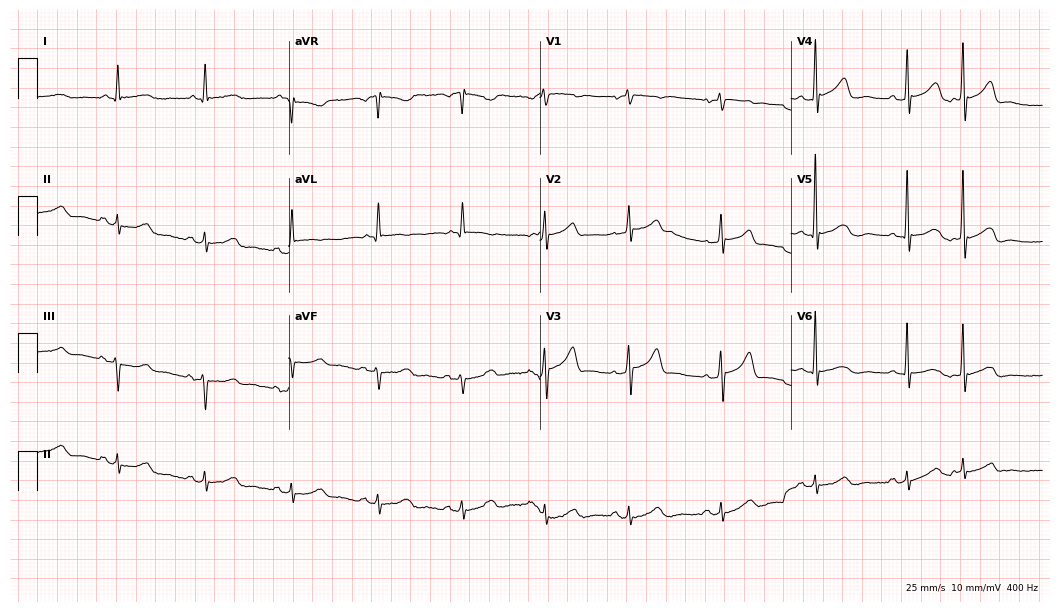
Resting 12-lead electrocardiogram. Patient: a female, 73 years old. Read as a normal ECG.